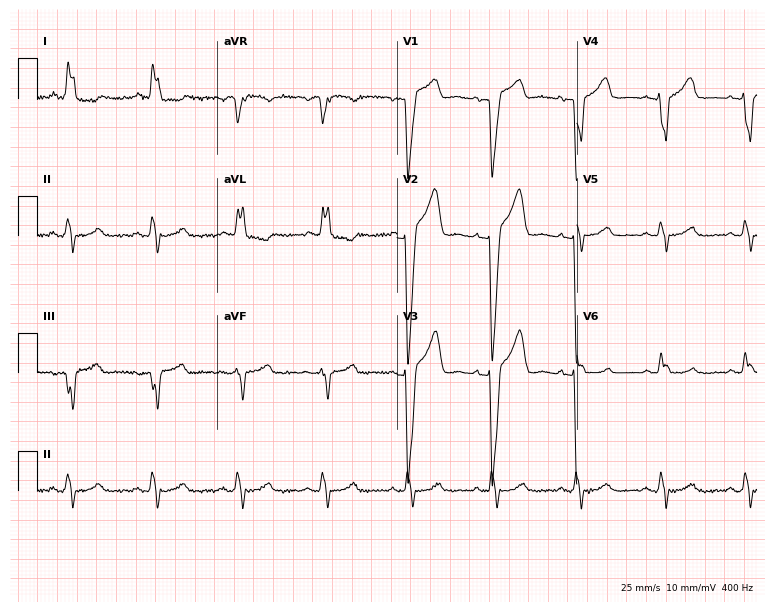
ECG — a 58-year-old female patient. Findings include left bundle branch block.